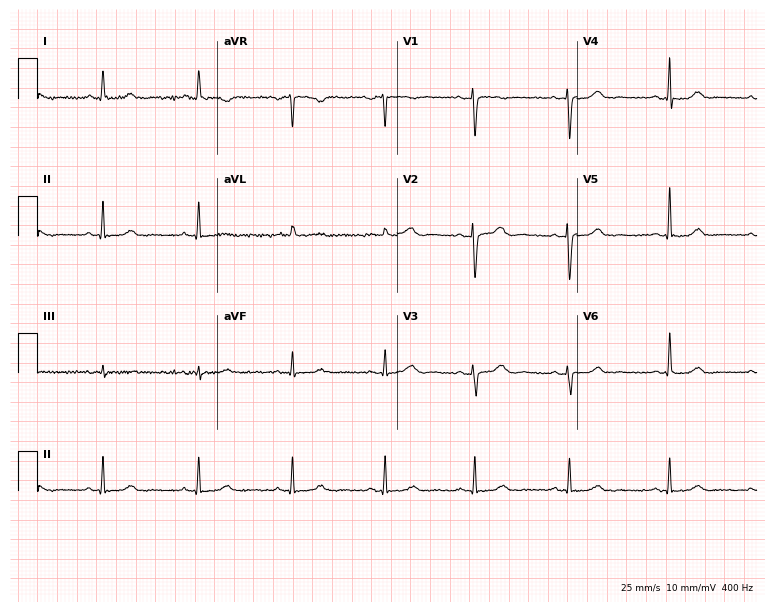
12-lead ECG from a 33-year-old female patient (7.3-second recording at 400 Hz). Recorded interpretation: within normal limits.